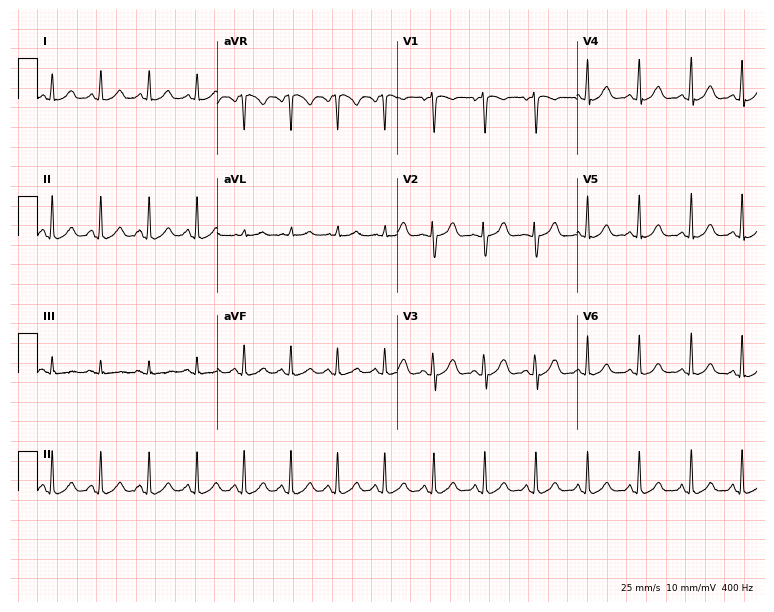
ECG — a female, 28 years old. Findings include sinus tachycardia (a sinus rate of 100 beats per minute or more).